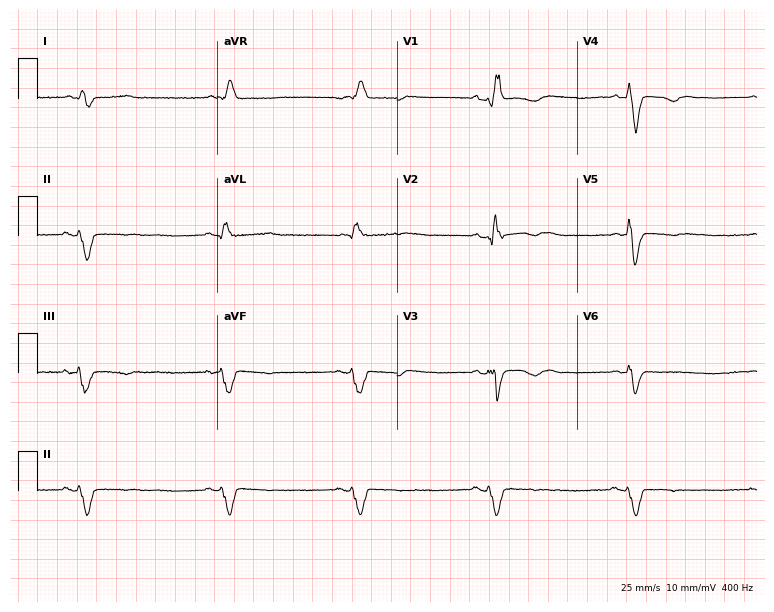
12-lead ECG from a 38-year-old man. Findings include right bundle branch block.